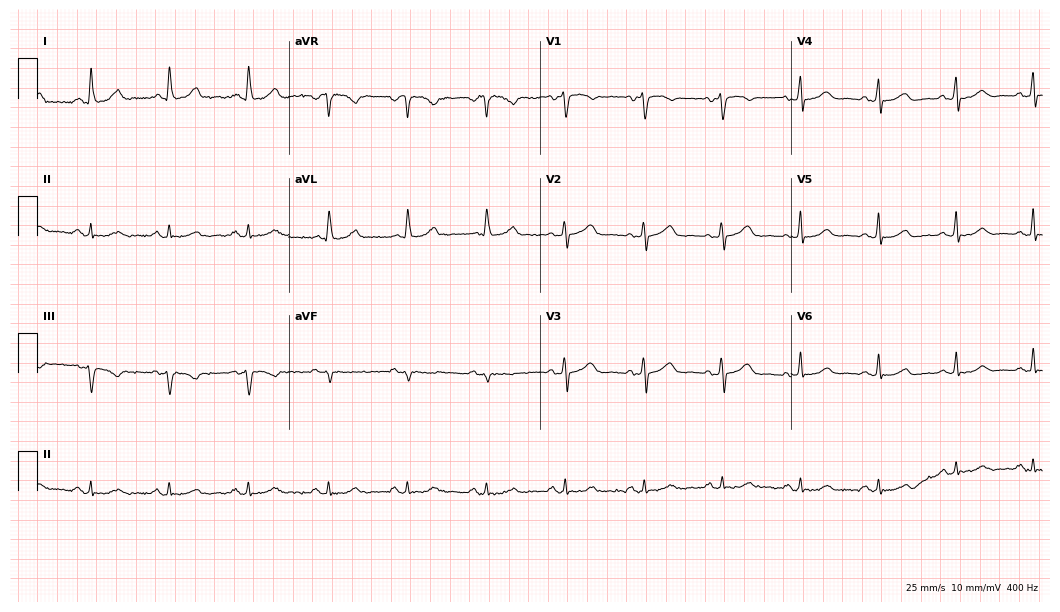
Electrocardiogram, a female patient, 57 years old. Overall reading on record: normal ECG.